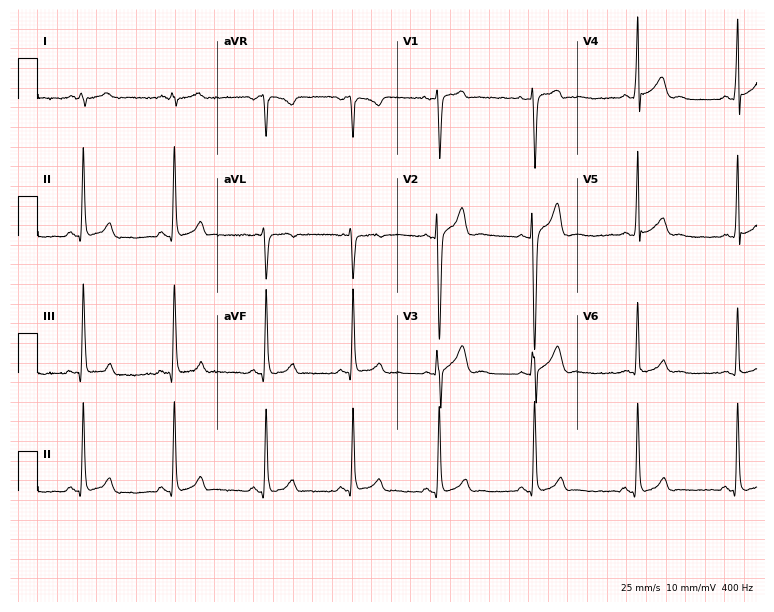
Resting 12-lead electrocardiogram (7.3-second recording at 400 Hz). Patient: a male, 20 years old. None of these six findings is recorded: first-degree AV block, right bundle branch block, left bundle branch block, sinus bradycardia, atrial fibrillation, sinus tachycardia. Only these six findings were labelled.